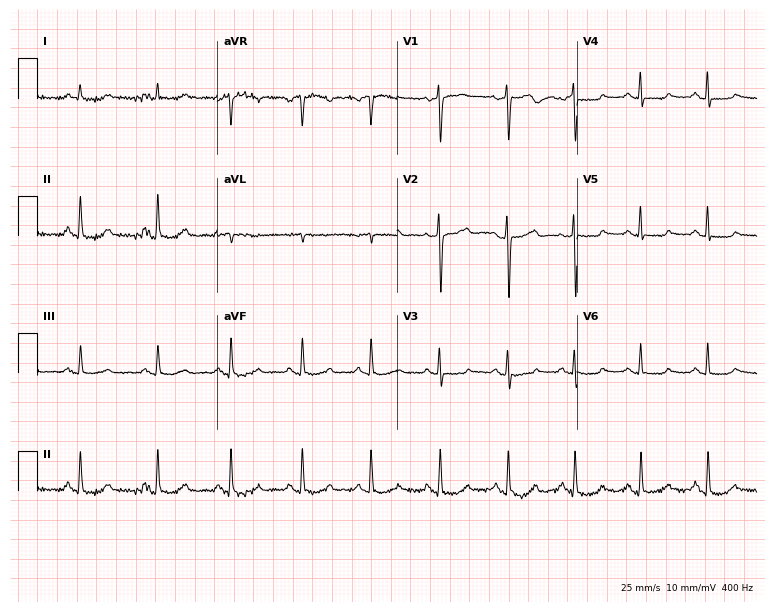
Electrocardiogram (7.3-second recording at 400 Hz), a female, 66 years old. Of the six screened findings (first-degree AV block, right bundle branch block (RBBB), left bundle branch block (LBBB), sinus bradycardia, atrial fibrillation (AF), sinus tachycardia), none is recorded. Findings outside these six are not listed.